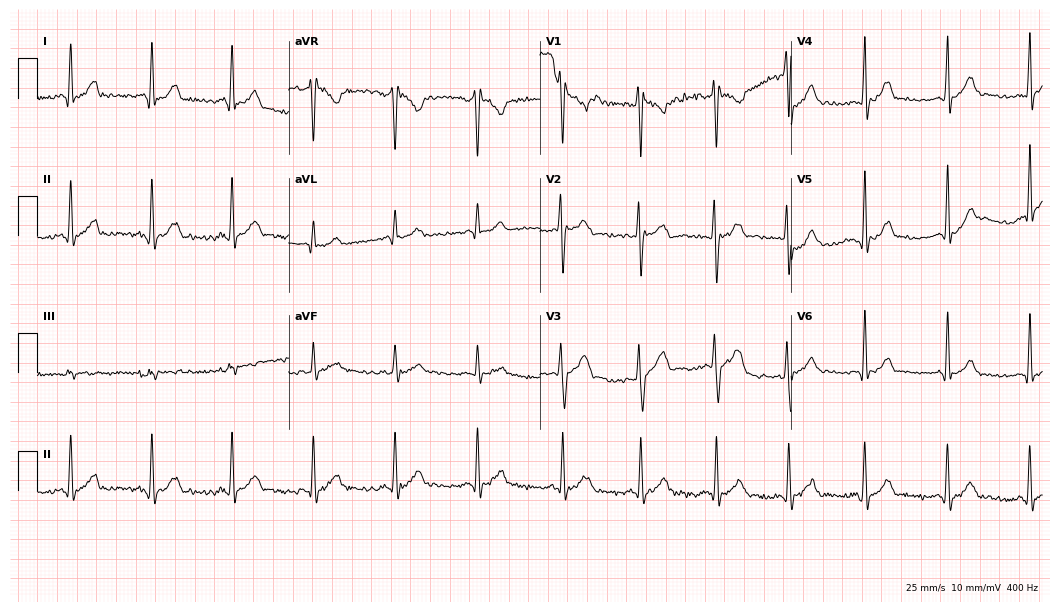
Standard 12-lead ECG recorded from a 23-year-old male patient (10.2-second recording at 400 Hz). None of these six findings is recorded: first-degree AV block, right bundle branch block, left bundle branch block, sinus bradycardia, atrial fibrillation, sinus tachycardia. Other findings, if any, are not listed.